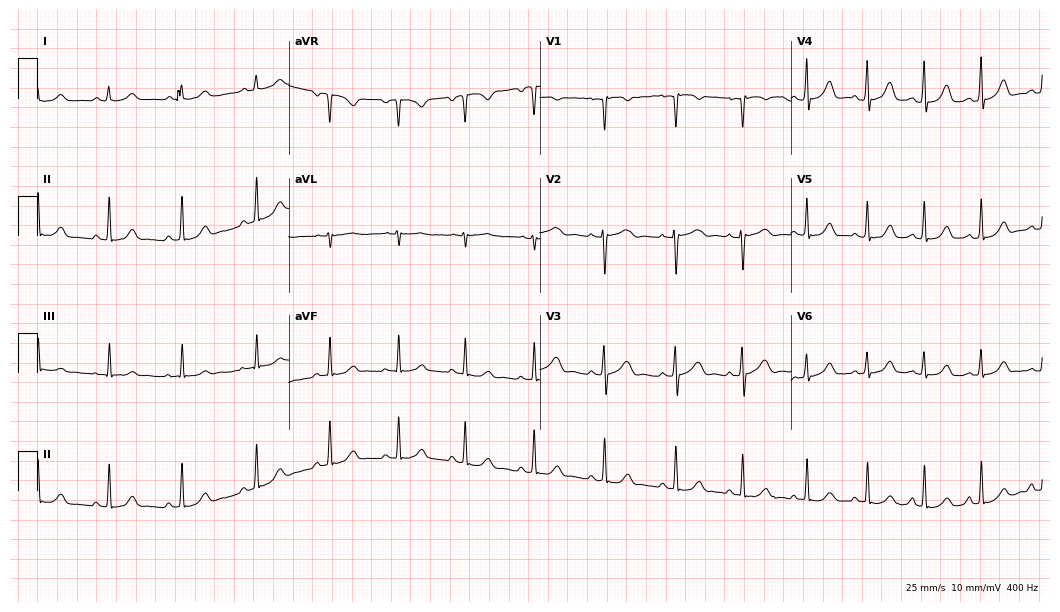
12-lead ECG from a 32-year-old female. Recorded interpretation: within normal limits.